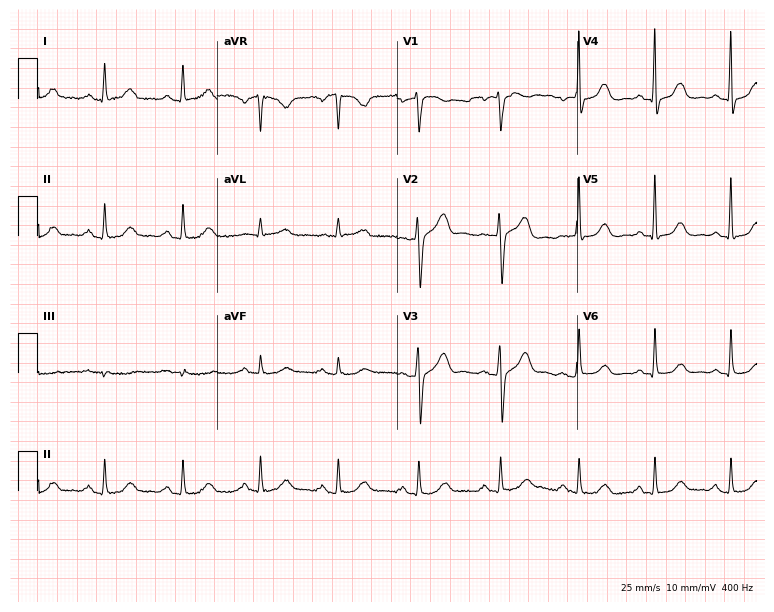
Electrocardiogram (7.3-second recording at 400 Hz), a female, 57 years old. Overall reading on record: normal ECG.